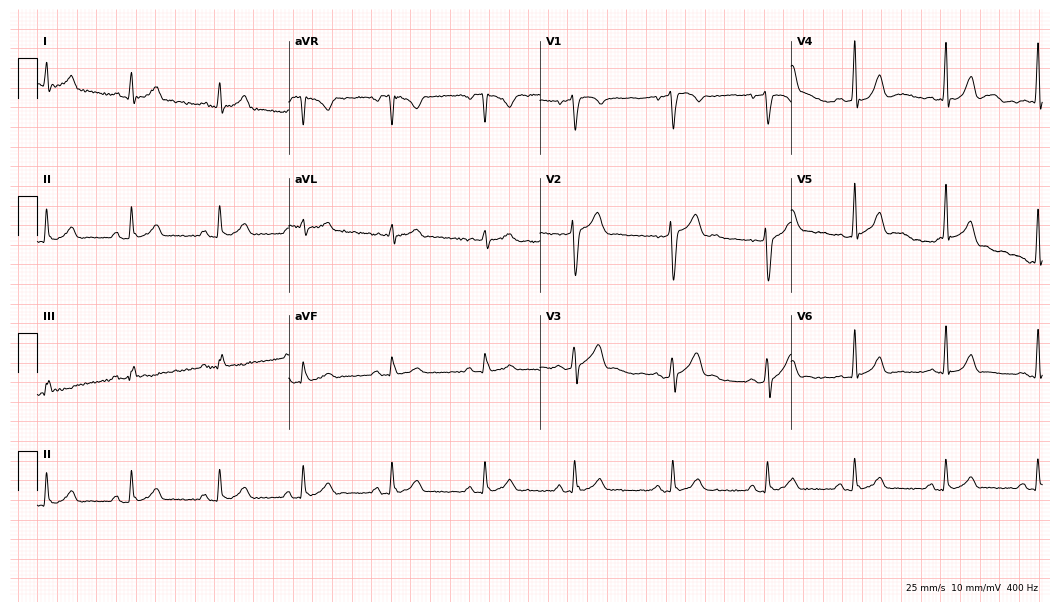
Resting 12-lead electrocardiogram (10.2-second recording at 400 Hz). Patient: a male, 27 years old. Read as a normal ECG.